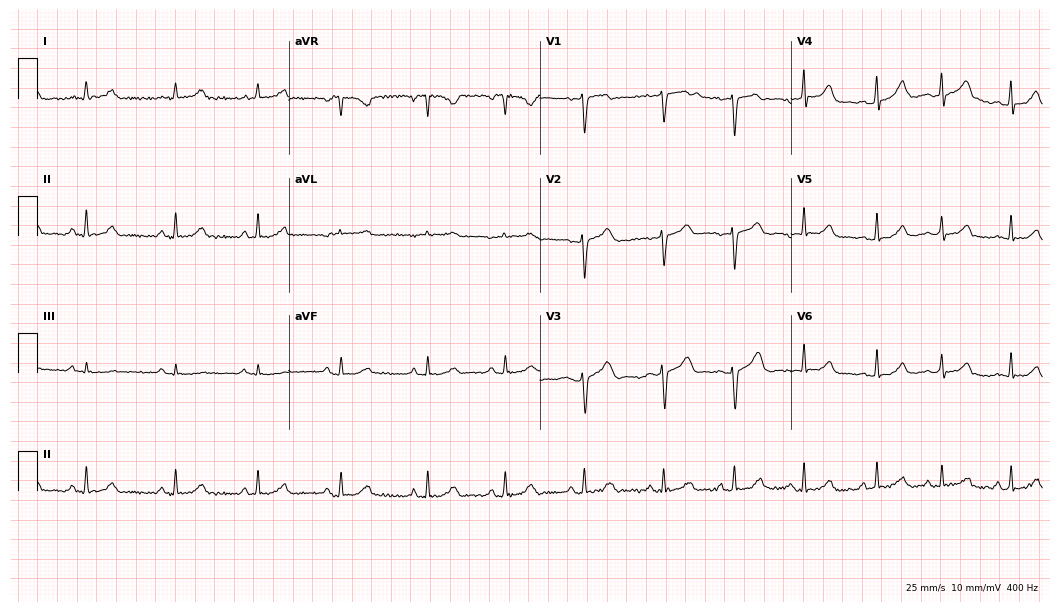
12-lead ECG from a female patient, 25 years old. Recorded interpretation: within normal limits.